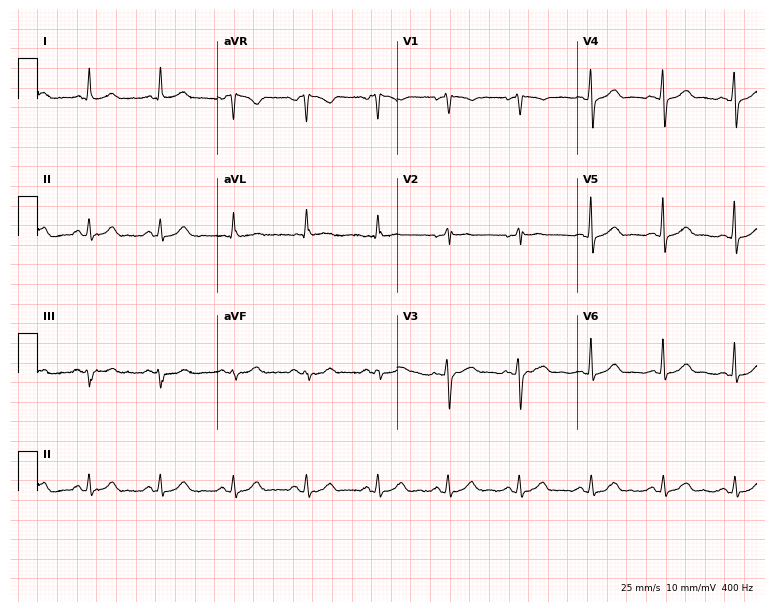
ECG (7.3-second recording at 400 Hz) — a woman, 49 years old. Labelled as a normal ECG.